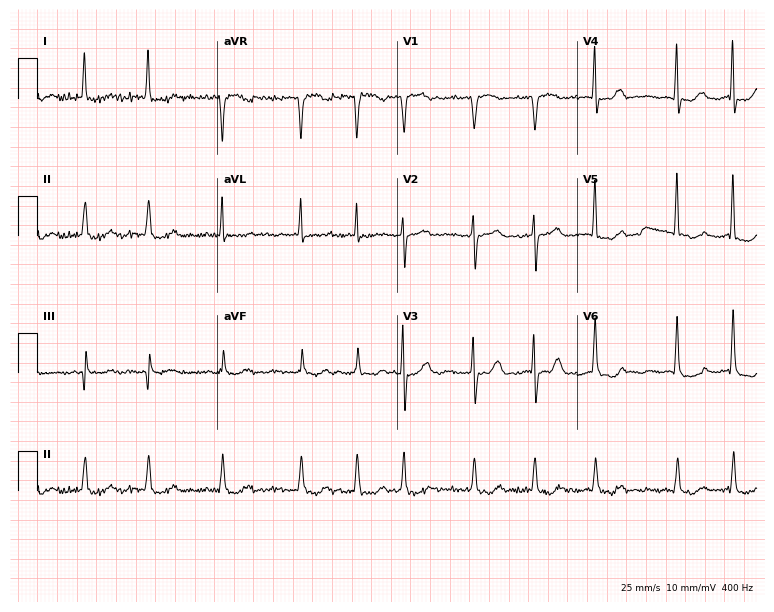
Standard 12-lead ECG recorded from an 81-year-old woman. The tracing shows atrial fibrillation.